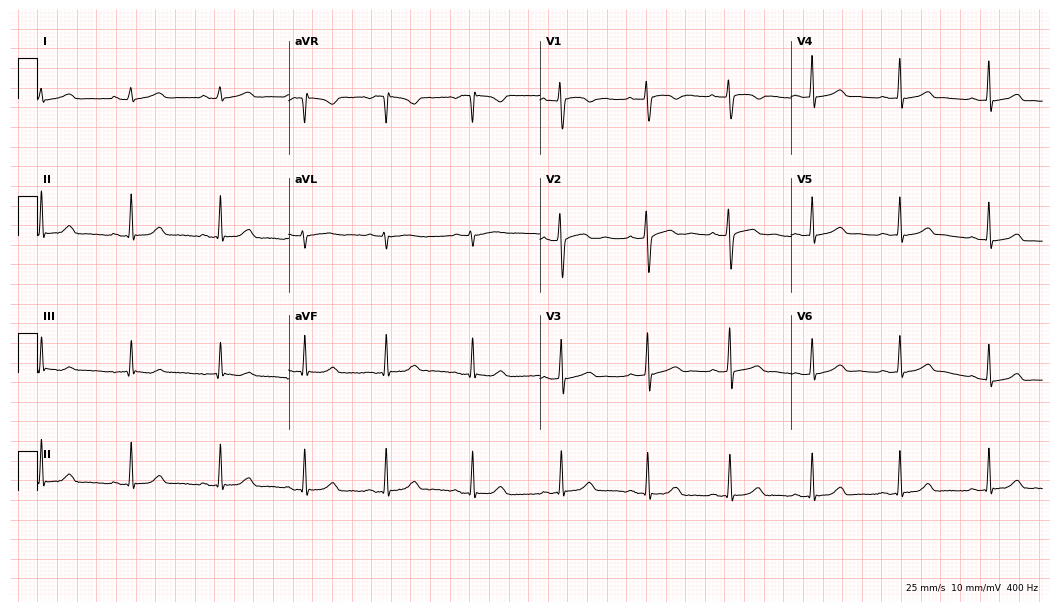
Resting 12-lead electrocardiogram (10.2-second recording at 400 Hz). Patient: a 17-year-old woman. Read as a normal ECG.